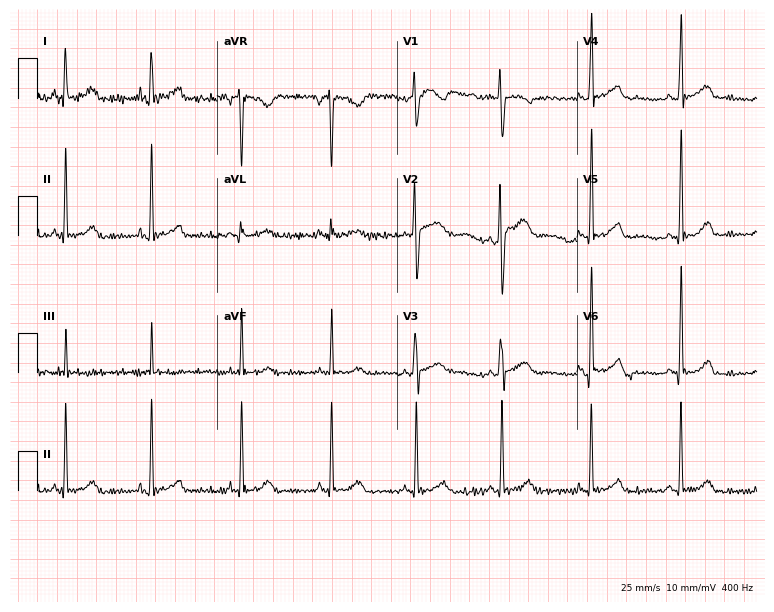
ECG — a 23-year-old female patient. Screened for six findings — first-degree AV block, right bundle branch block, left bundle branch block, sinus bradycardia, atrial fibrillation, sinus tachycardia — none is recorded. Findings outside these six are not listed.